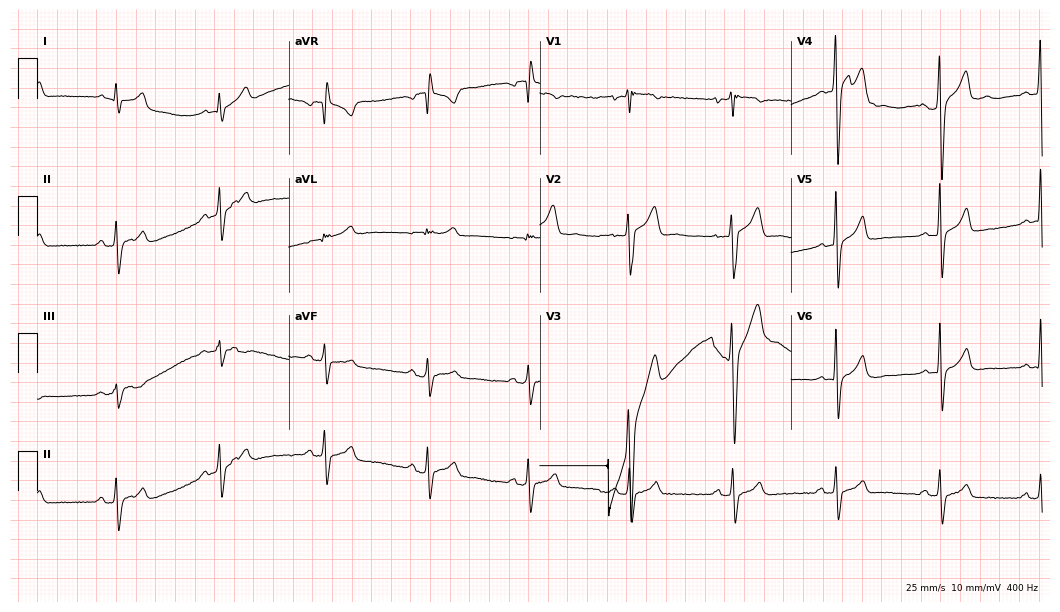
12-lead ECG from a 26-year-old male patient. No first-degree AV block, right bundle branch block, left bundle branch block, sinus bradycardia, atrial fibrillation or sinus tachycardia recorded for this tracing.